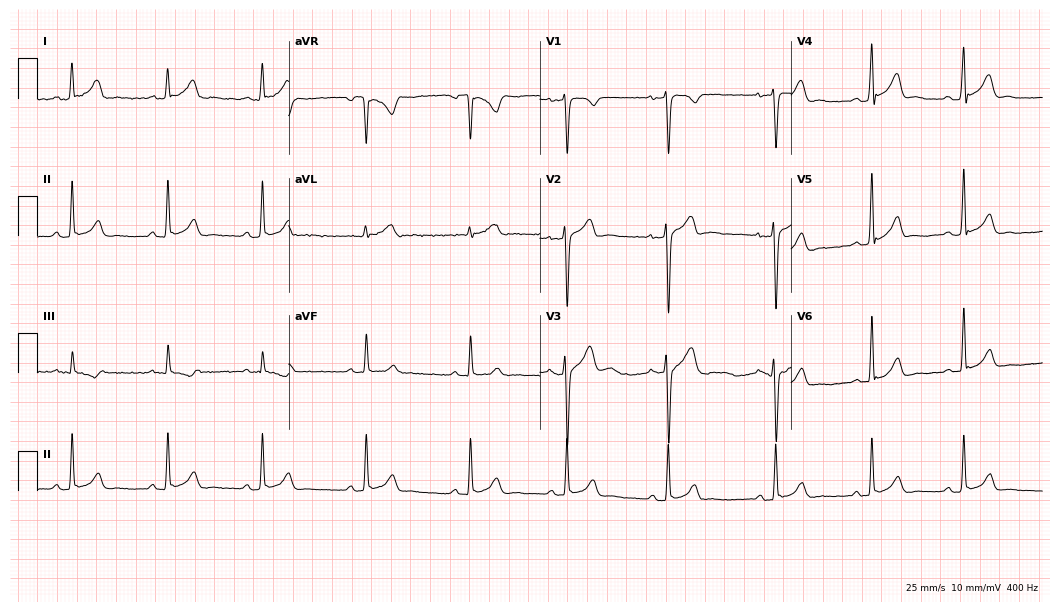
Resting 12-lead electrocardiogram. Patient: a man, 37 years old. Read as a normal ECG.